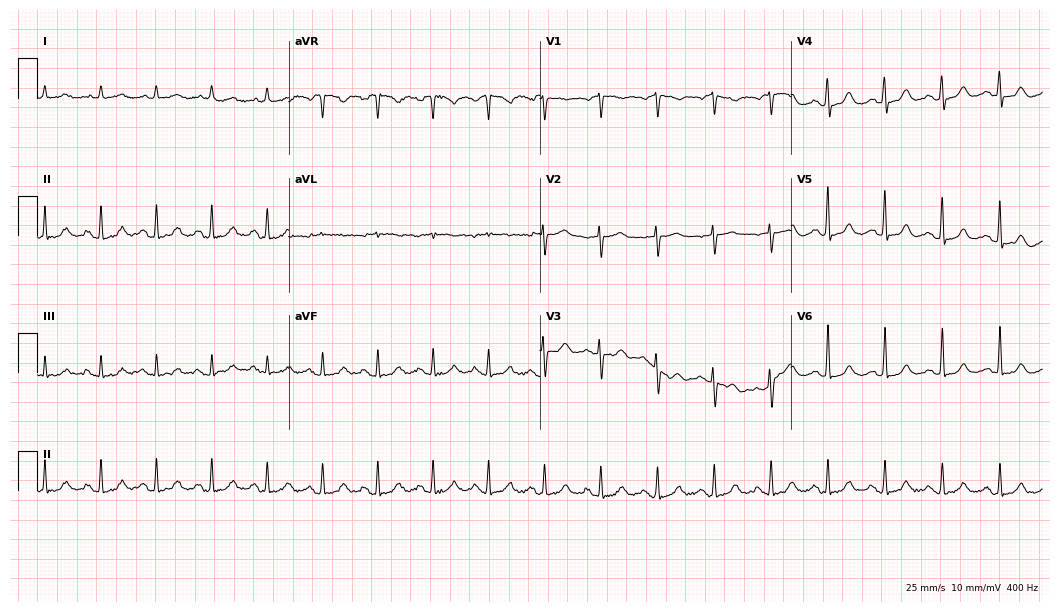
Resting 12-lead electrocardiogram. Patient: a female, 70 years old. None of these six findings is recorded: first-degree AV block, right bundle branch block, left bundle branch block, sinus bradycardia, atrial fibrillation, sinus tachycardia.